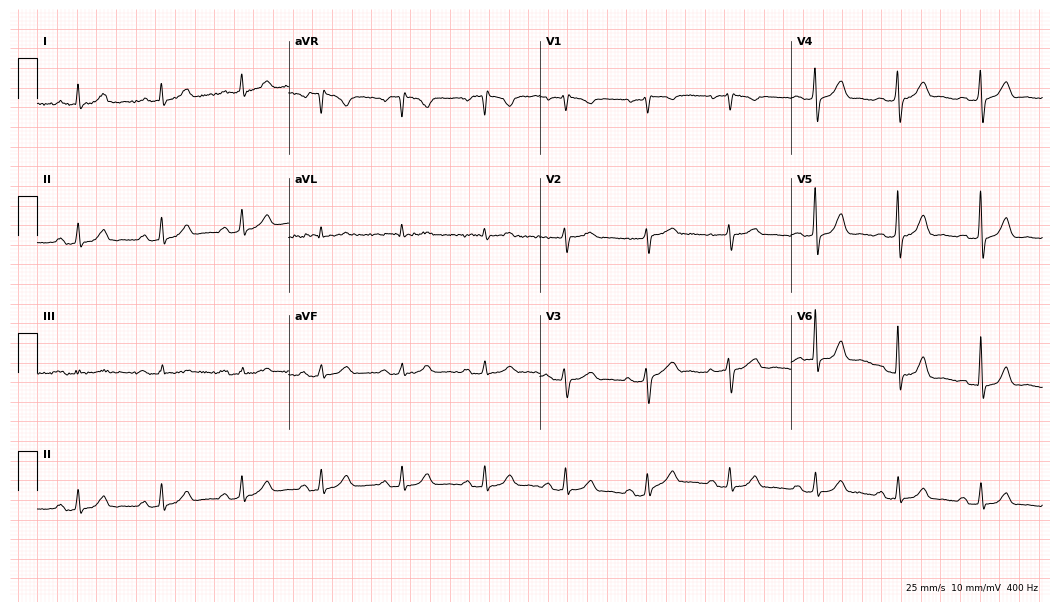
Standard 12-lead ECG recorded from a female patient, 62 years old. Read as a normal ECG.